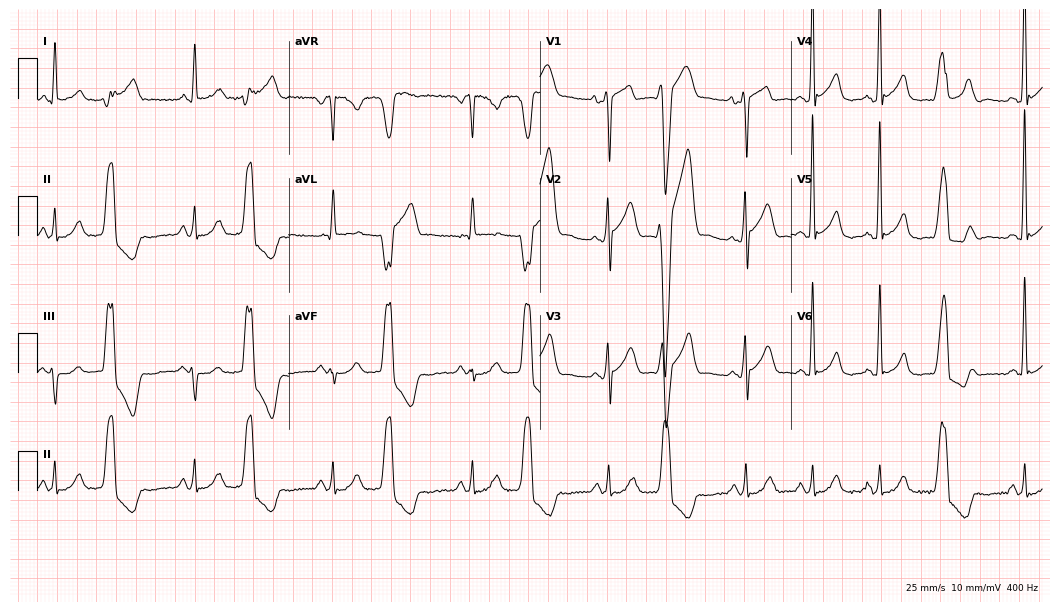
Resting 12-lead electrocardiogram (10.2-second recording at 400 Hz). Patient: a 68-year-old man. None of these six findings is recorded: first-degree AV block, right bundle branch block, left bundle branch block, sinus bradycardia, atrial fibrillation, sinus tachycardia.